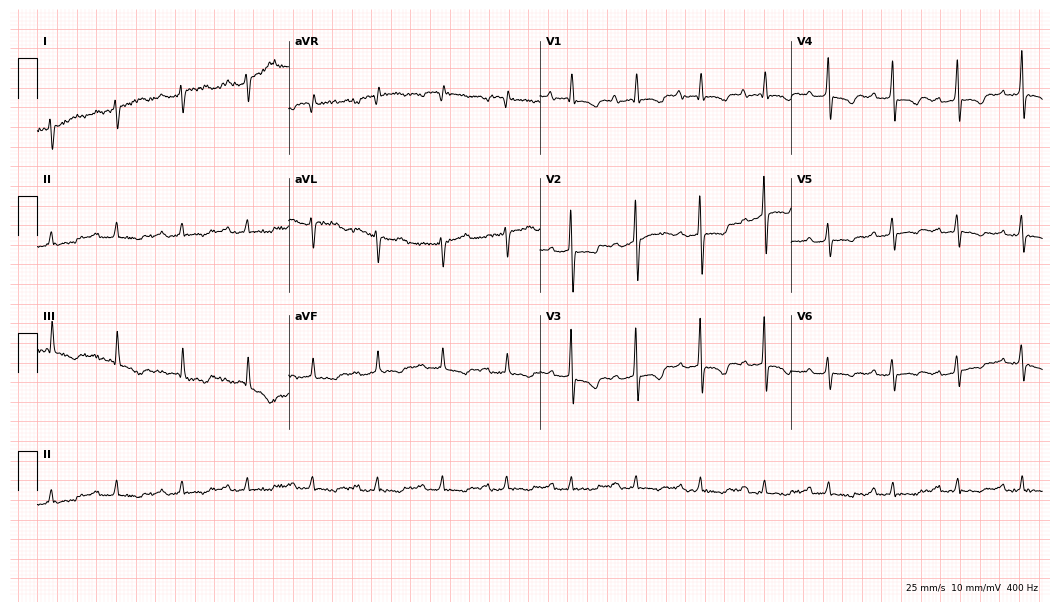
Standard 12-lead ECG recorded from a 62-year-old female patient (10.2-second recording at 400 Hz). The tracing shows first-degree AV block.